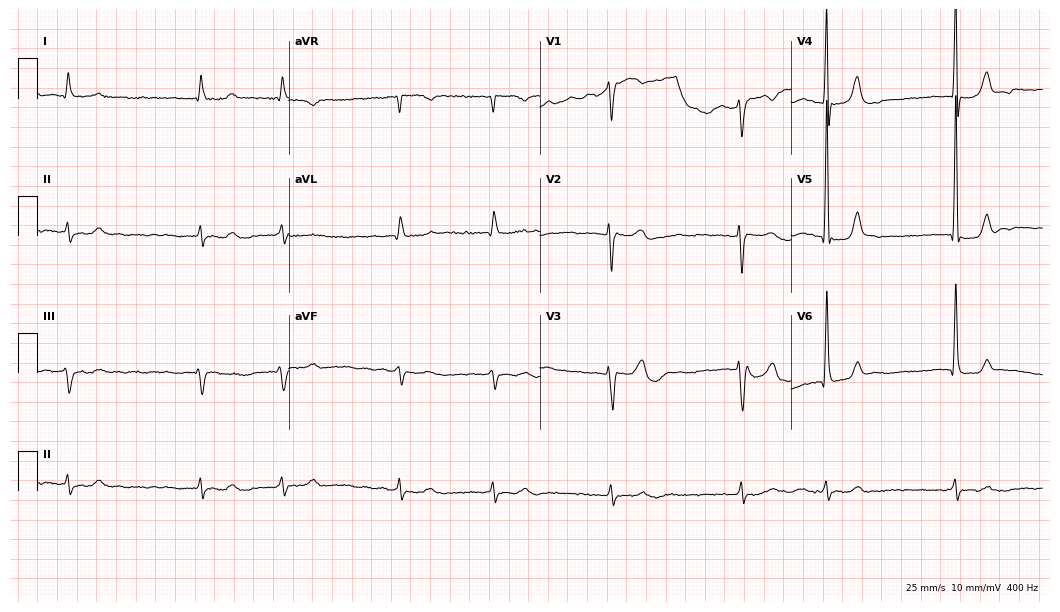
Standard 12-lead ECG recorded from a male patient, 81 years old (10.2-second recording at 400 Hz). The tracing shows atrial fibrillation (AF).